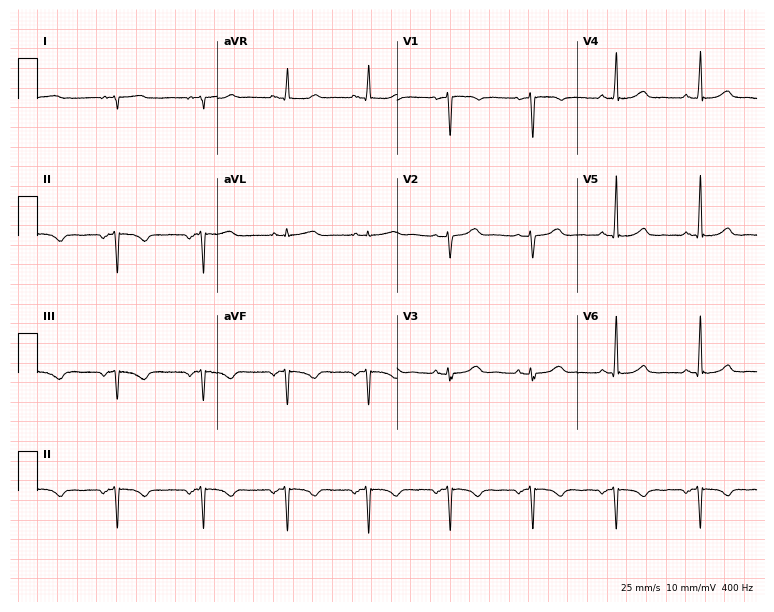
Electrocardiogram, a 51-year-old female. Of the six screened findings (first-degree AV block, right bundle branch block (RBBB), left bundle branch block (LBBB), sinus bradycardia, atrial fibrillation (AF), sinus tachycardia), none is recorded.